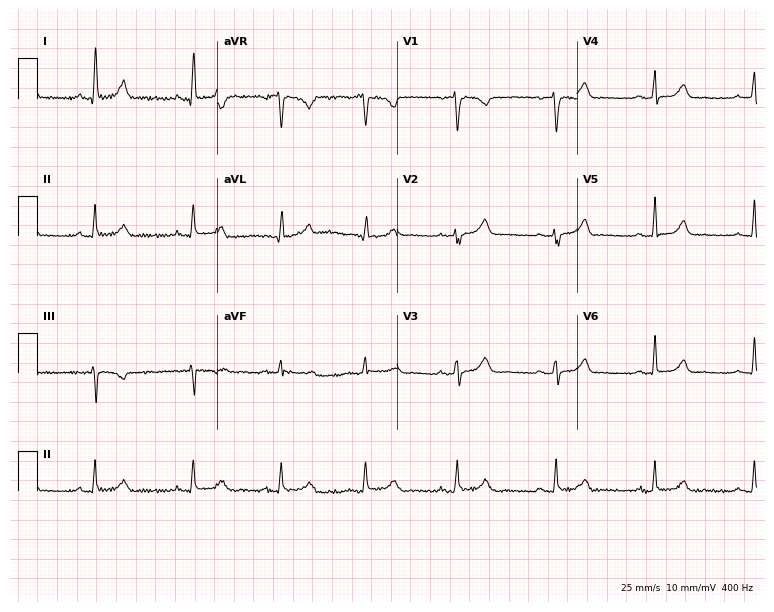
Electrocardiogram (7.3-second recording at 400 Hz), a woman, 39 years old. Overall reading on record: normal ECG.